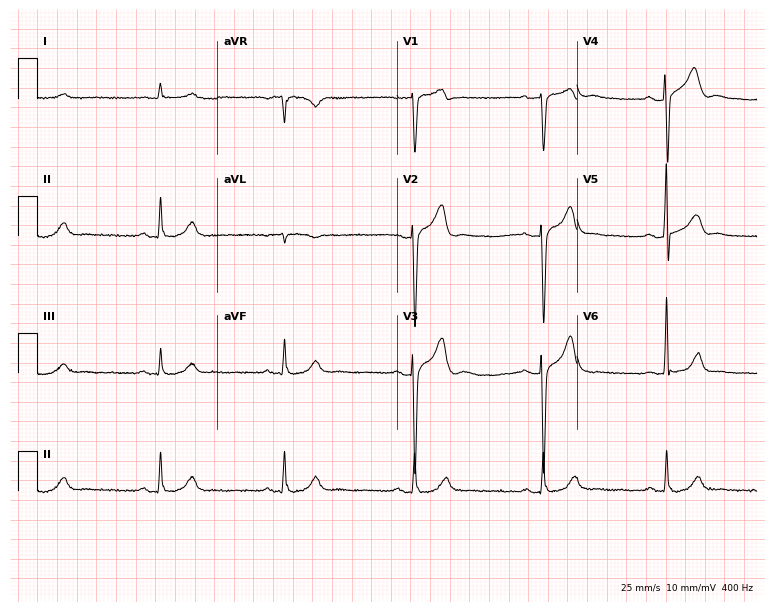
Resting 12-lead electrocardiogram. Patient: a 79-year-old male. The tracing shows sinus bradycardia (a sinus rate of 50 beats per minute or less).